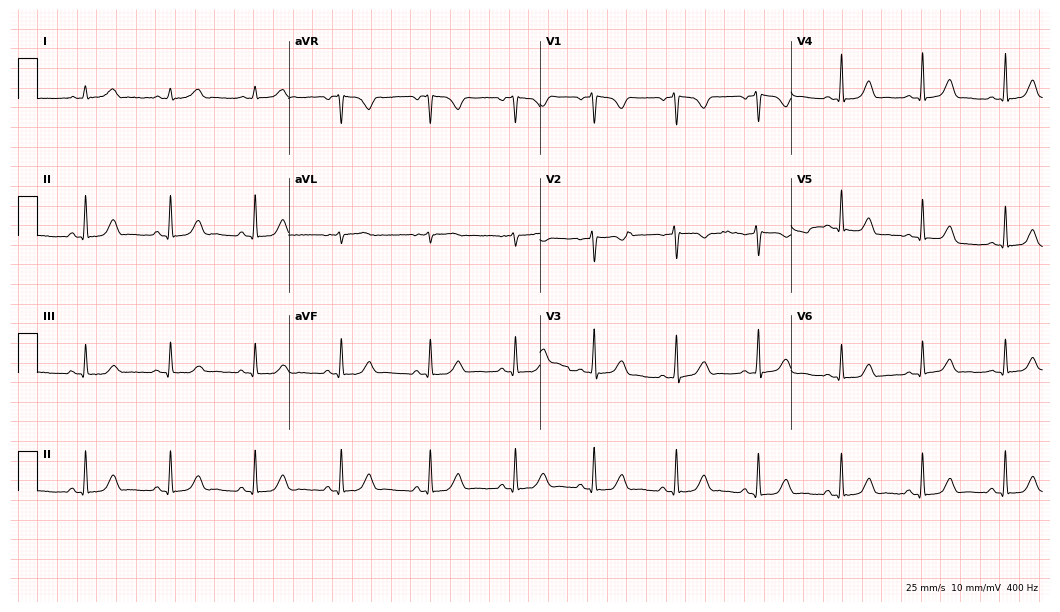
12-lead ECG from a woman, 20 years old. Labelled as a normal ECG.